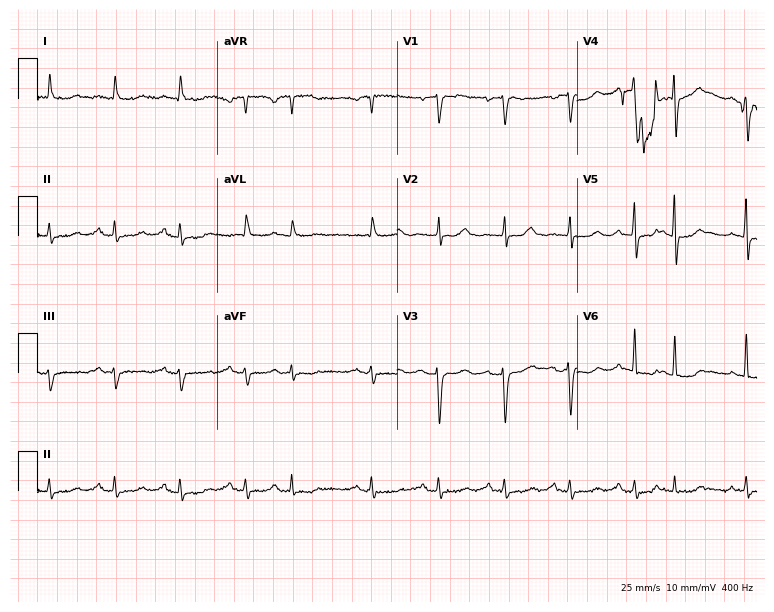
Electrocardiogram (7.3-second recording at 400 Hz), a female patient, 80 years old. Overall reading on record: normal ECG.